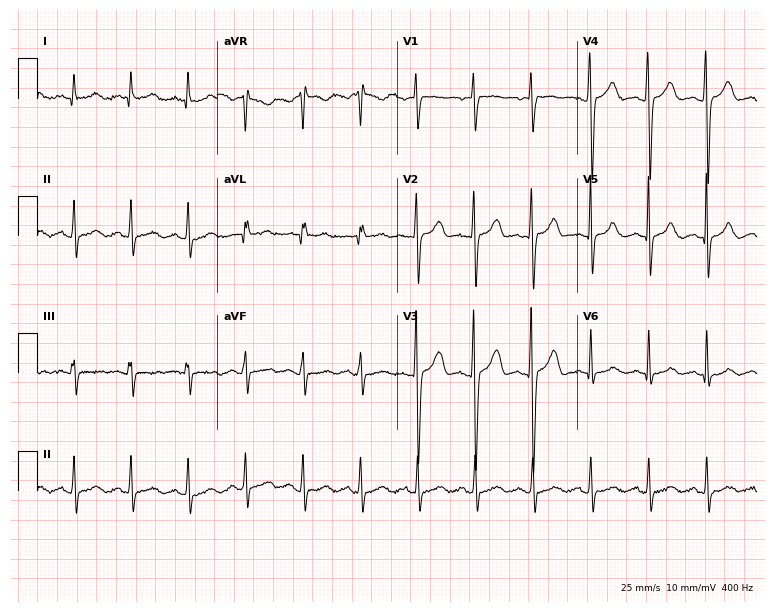
12-lead ECG (7.3-second recording at 400 Hz) from a 35-year-old female. Findings include sinus tachycardia (a sinus rate of 100 beats per minute or more).